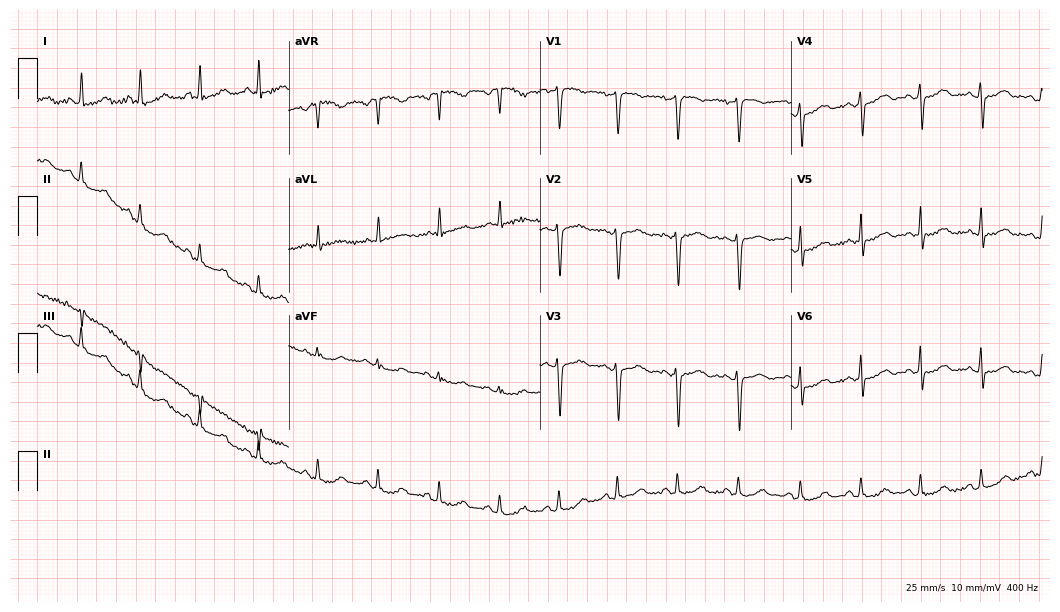
Electrocardiogram (10.2-second recording at 400 Hz), a 54-year-old female patient. Overall reading on record: normal ECG.